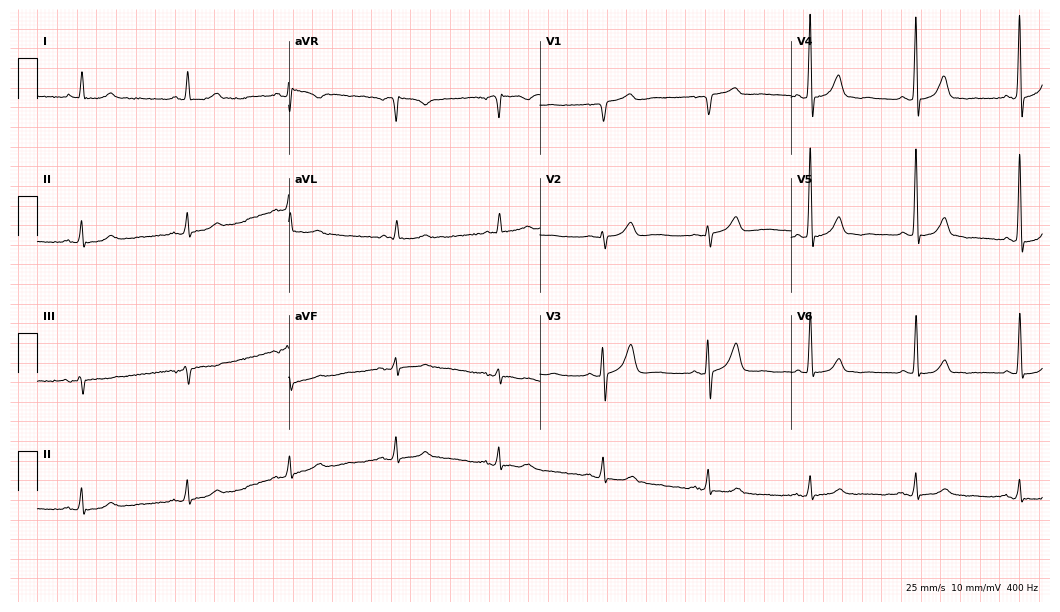
Standard 12-lead ECG recorded from a 73-year-old man (10.2-second recording at 400 Hz). Read as a normal ECG.